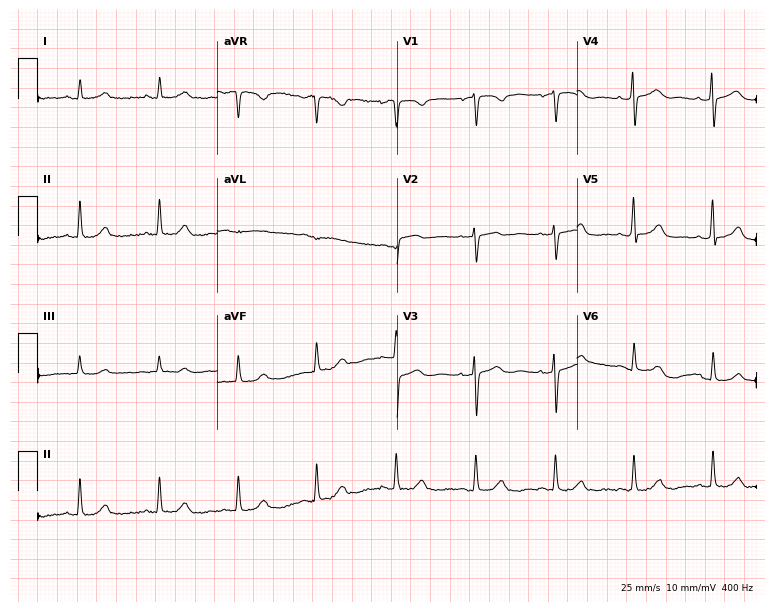
Standard 12-lead ECG recorded from a male patient, 75 years old. None of these six findings is recorded: first-degree AV block, right bundle branch block, left bundle branch block, sinus bradycardia, atrial fibrillation, sinus tachycardia.